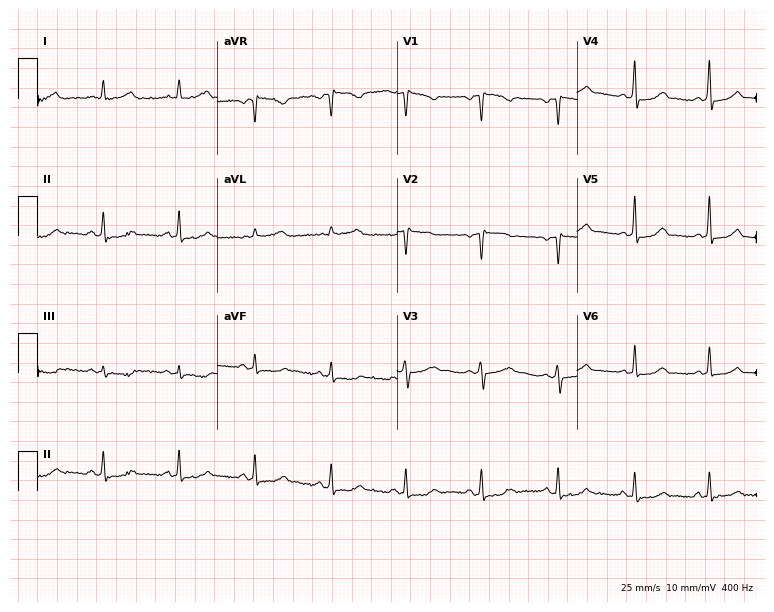
Standard 12-lead ECG recorded from a 45-year-old female. None of these six findings is recorded: first-degree AV block, right bundle branch block (RBBB), left bundle branch block (LBBB), sinus bradycardia, atrial fibrillation (AF), sinus tachycardia. Only these six findings were labelled.